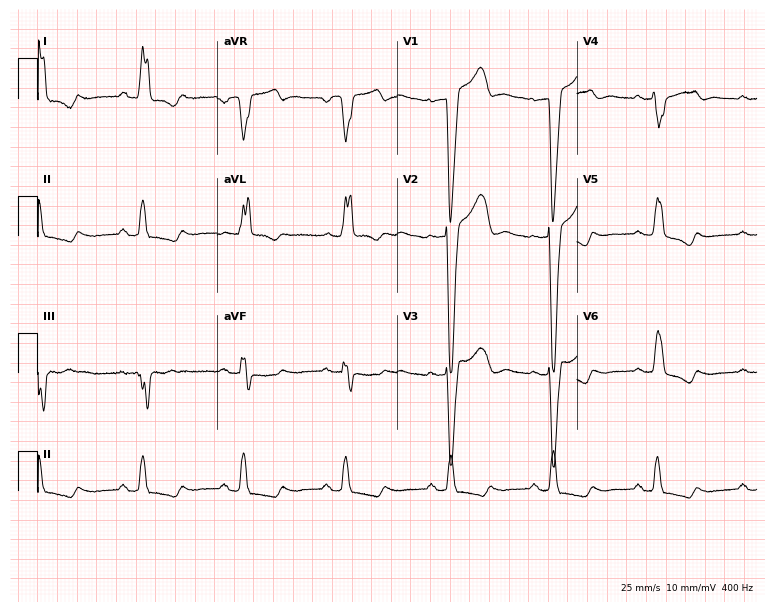
Resting 12-lead electrocardiogram (7.3-second recording at 400 Hz). Patient: a 63-year-old female. The tracing shows left bundle branch block.